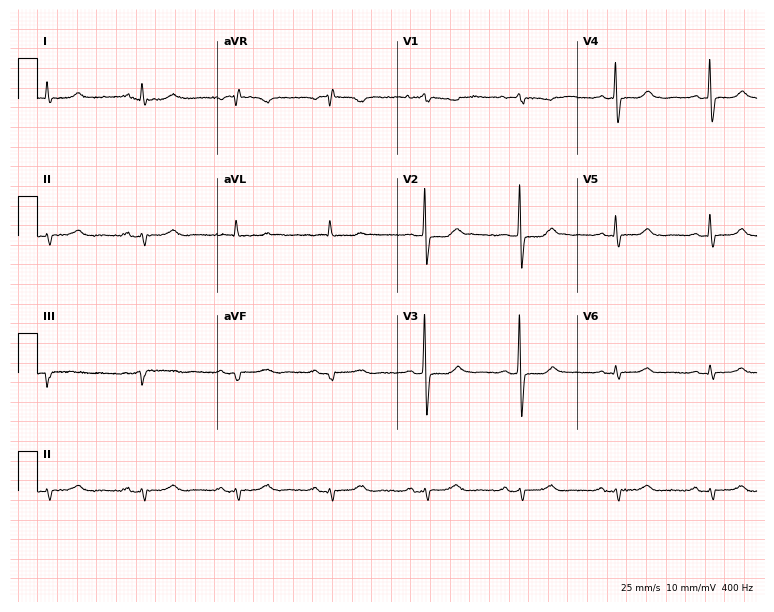
Standard 12-lead ECG recorded from a 77-year-old male patient. Read as a normal ECG.